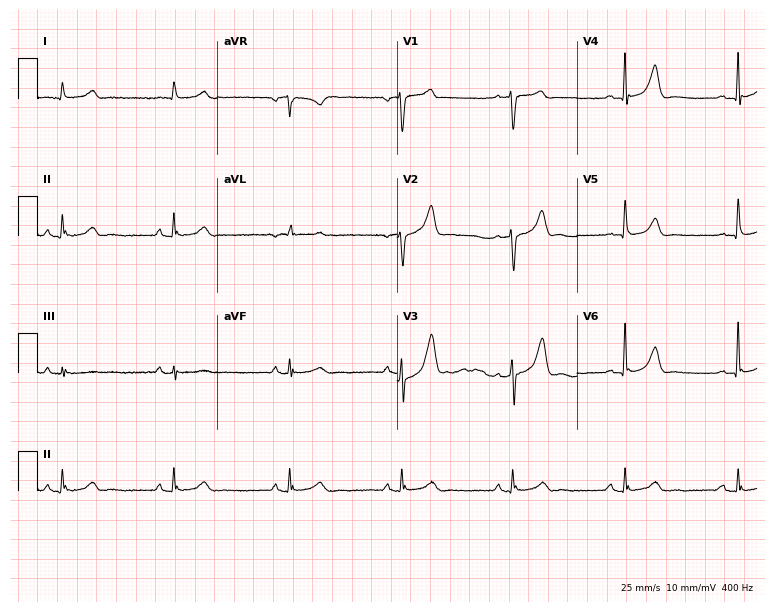
12-lead ECG (7.3-second recording at 400 Hz) from a 70-year-old male. Screened for six findings — first-degree AV block, right bundle branch block, left bundle branch block, sinus bradycardia, atrial fibrillation, sinus tachycardia — none is recorded.